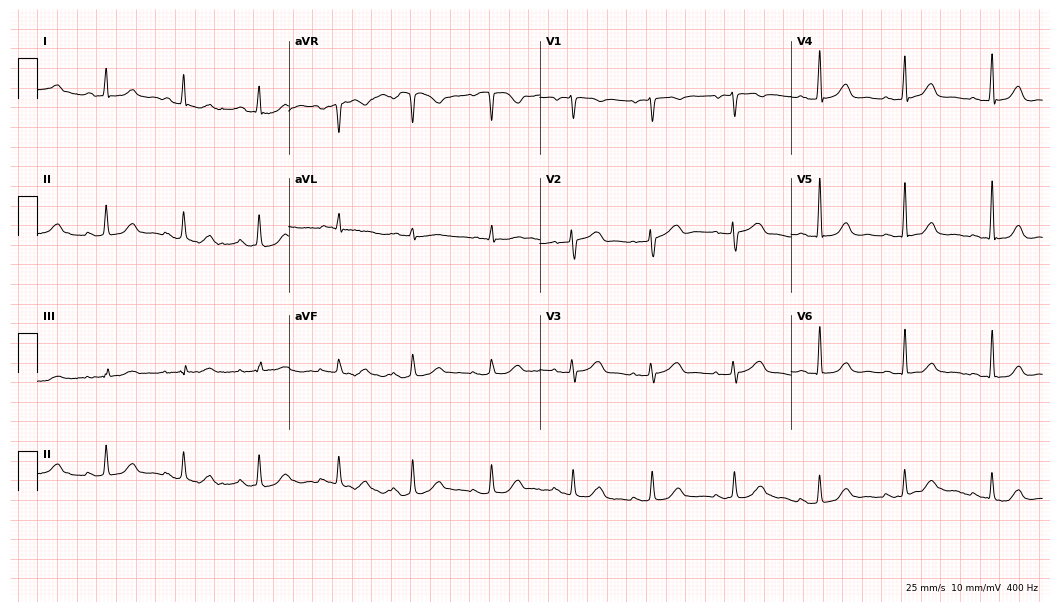
12-lead ECG (10.2-second recording at 400 Hz) from a 55-year-old woman. Labelled as a normal ECG.